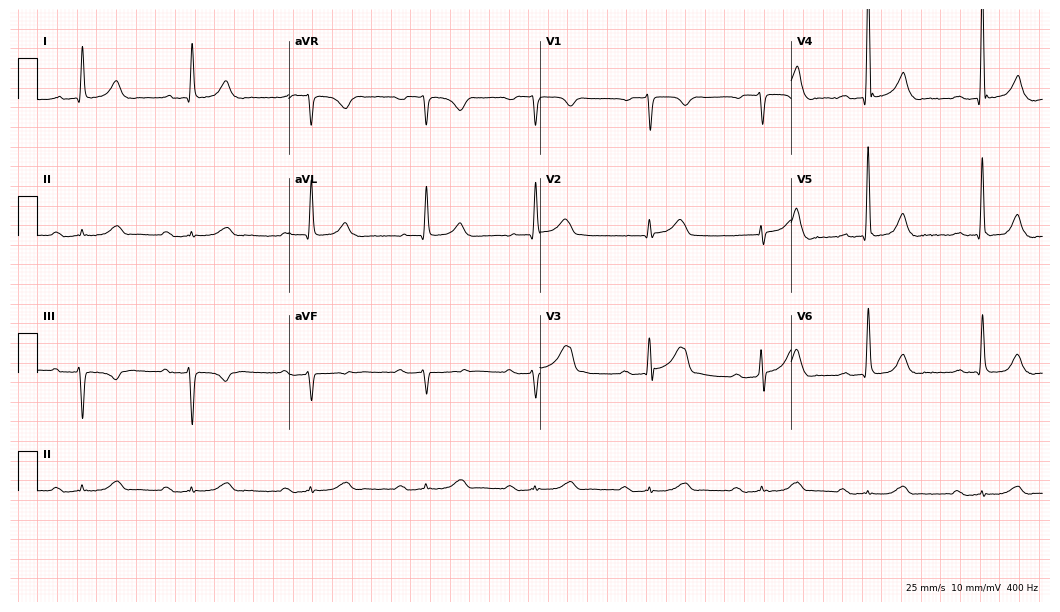
Standard 12-lead ECG recorded from a male, 80 years old (10.2-second recording at 400 Hz). The tracing shows first-degree AV block.